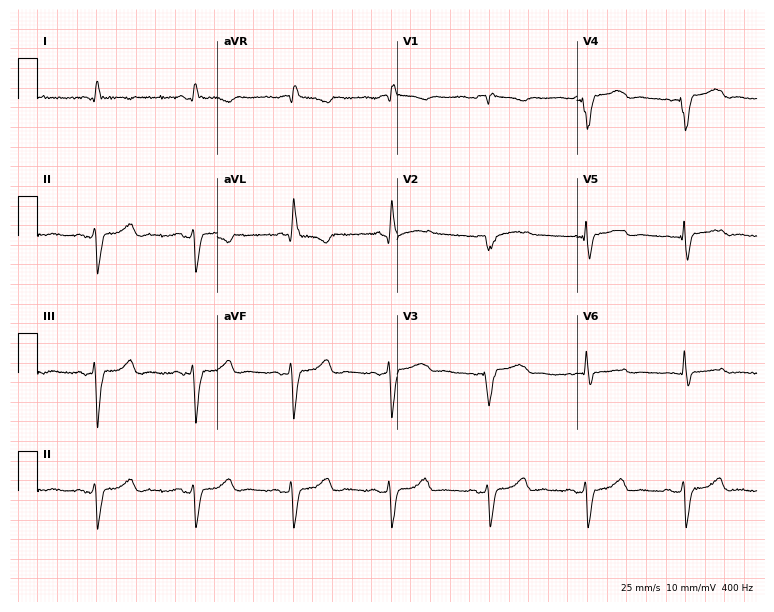
12-lead ECG (7.3-second recording at 400 Hz) from a woman, 53 years old. Screened for six findings — first-degree AV block, right bundle branch block, left bundle branch block, sinus bradycardia, atrial fibrillation, sinus tachycardia — none is recorded. Only these six findings were labelled.